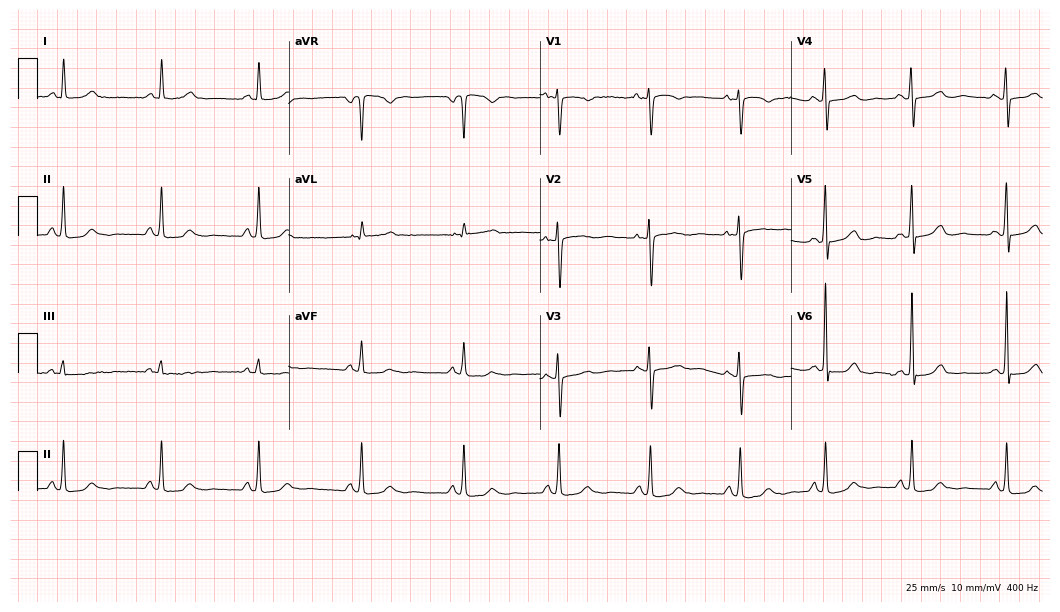
Electrocardiogram, a female patient, 48 years old. Overall reading on record: normal ECG.